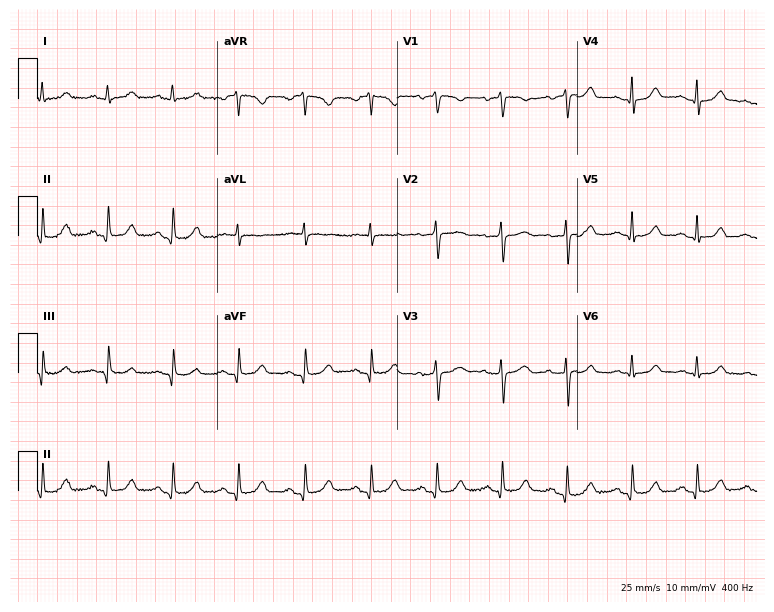
12-lead ECG from a 57-year-old female patient. Labelled as a normal ECG.